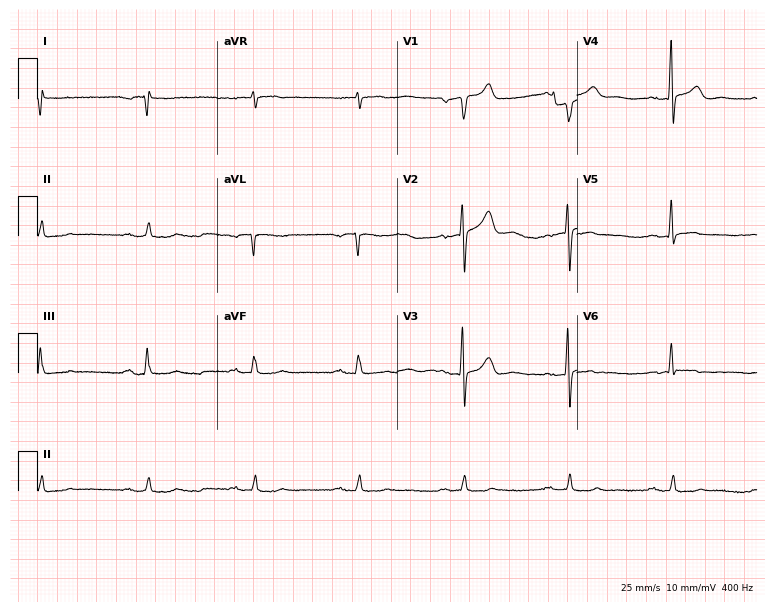
Standard 12-lead ECG recorded from a 71-year-old male (7.3-second recording at 400 Hz). None of these six findings is recorded: first-degree AV block, right bundle branch block (RBBB), left bundle branch block (LBBB), sinus bradycardia, atrial fibrillation (AF), sinus tachycardia.